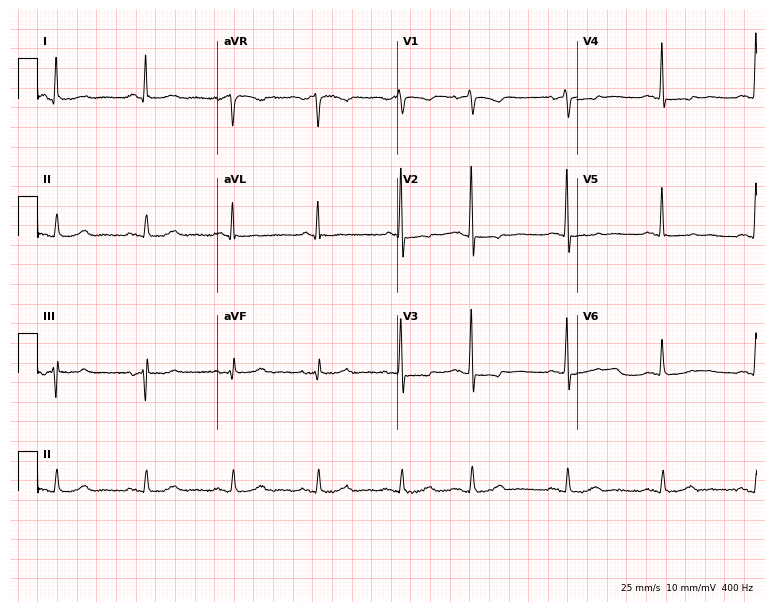
Standard 12-lead ECG recorded from an 83-year-old woman. None of these six findings is recorded: first-degree AV block, right bundle branch block (RBBB), left bundle branch block (LBBB), sinus bradycardia, atrial fibrillation (AF), sinus tachycardia. Other findings, if any, are not listed.